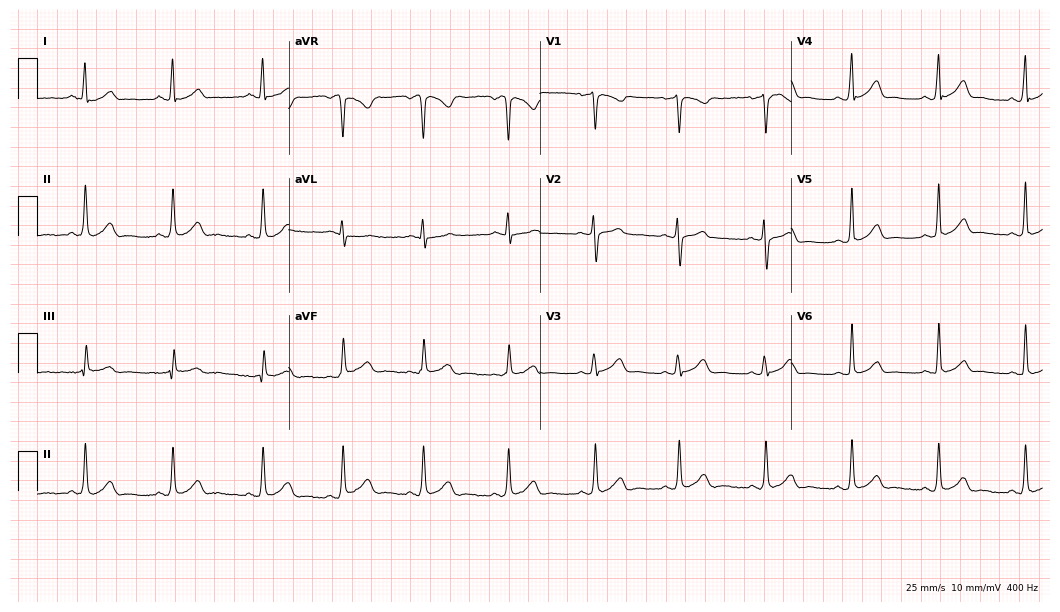
12-lead ECG (10.2-second recording at 400 Hz) from a 21-year-old female. Labelled as a normal ECG.